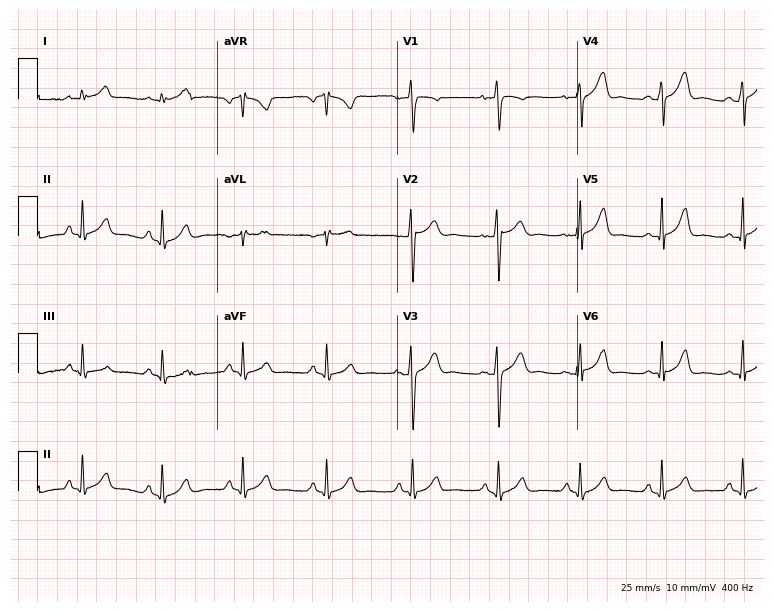
ECG (7.3-second recording at 400 Hz) — a 39-year-old male patient. Labelled as a normal ECG.